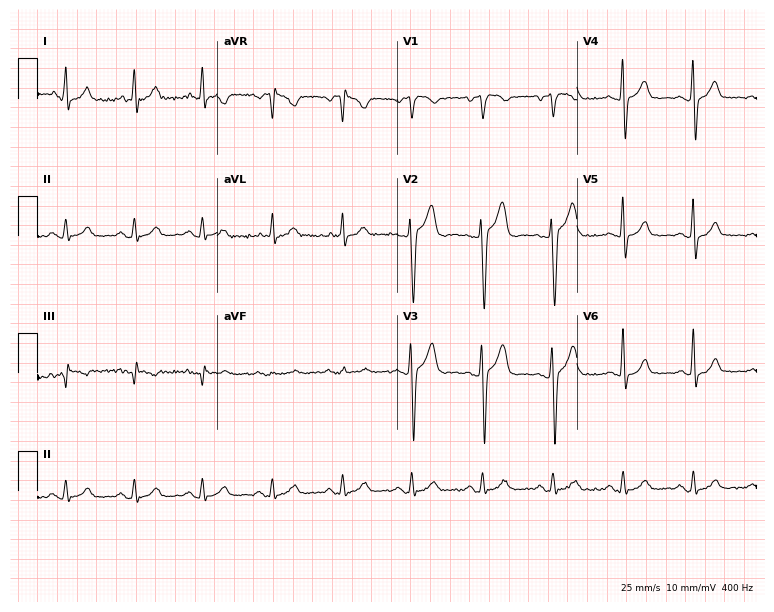
Standard 12-lead ECG recorded from a man, 40 years old (7.3-second recording at 400 Hz). None of these six findings is recorded: first-degree AV block, right bundle branch block (RBBB), left bundle branch block (LBBB), sinus bradycardia, atrial fibrillation (AF), sinus tachycardia. Other findings, if any, are not listed.